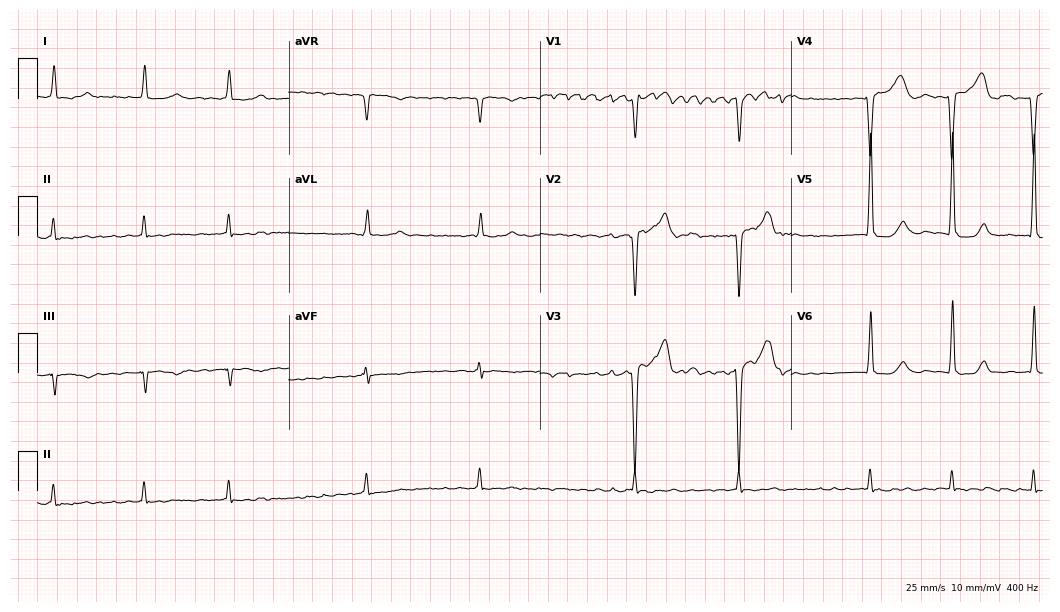
12-lead ECG from an 82-year-old male patient. Findings include atrial fibrillation.